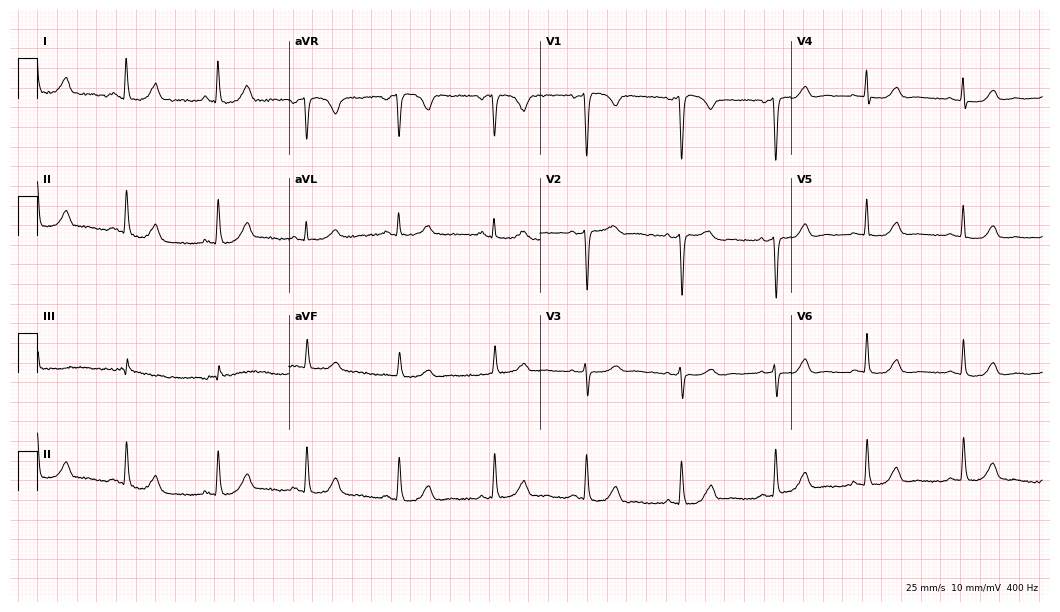
12-lead ECG from a female patient, 47 years old. Screened for six findings — first-degree AV block, right bundle branch block, left bundle branch block, sinus bradycardia, atrial fibrillation, sinus tachycardia — none is recorded. Other findings, if any, are not listed.